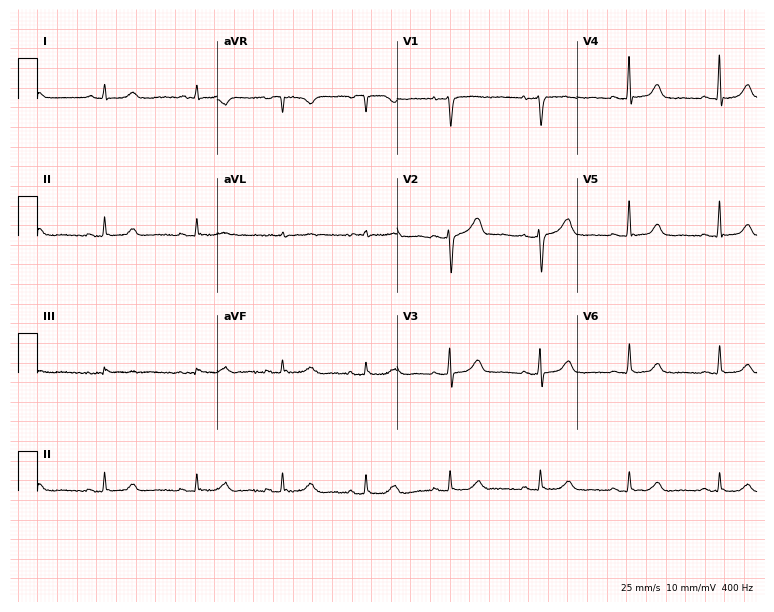
Standard 12-lead ECG recorded from a female, 54 years old (7.3-second recording at 400 Hz). Read as a normal ECG.